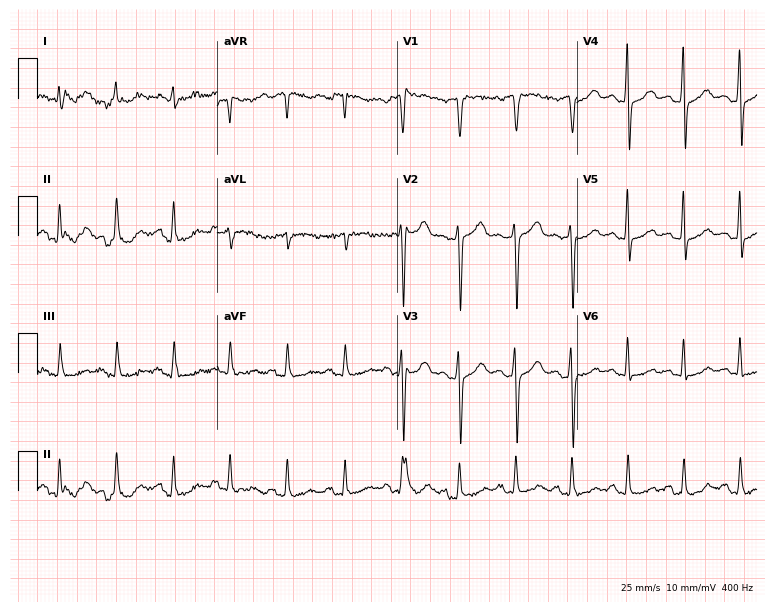
12-lead ECG from a male patient, 58 years old. No first-degree AV block, right bundle branch block, left bundle branch block, sinus bradycardia, atrial fibrillation or sinus tachycardia recorded for this tracing.